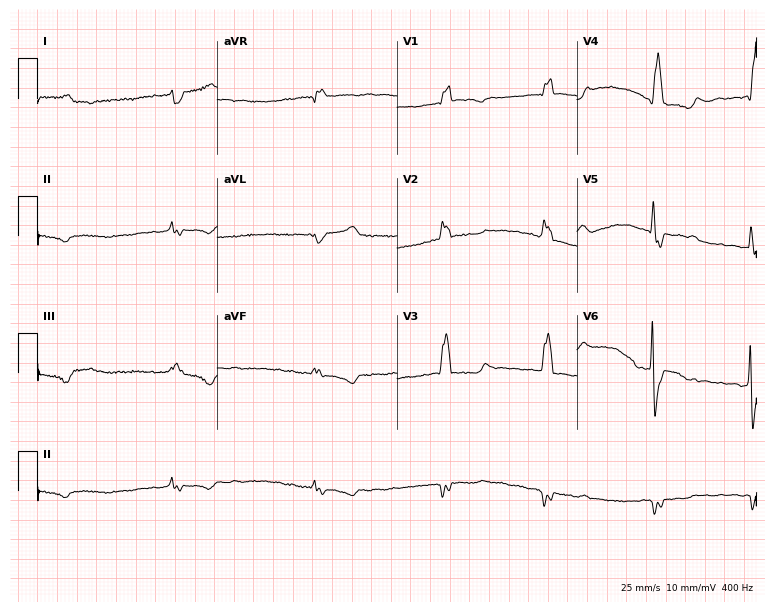
Resting 12-lead electrocardiogram. Patient: a man, 80 years old. The tracing shows right bundle branch block, atrial fibrillation.